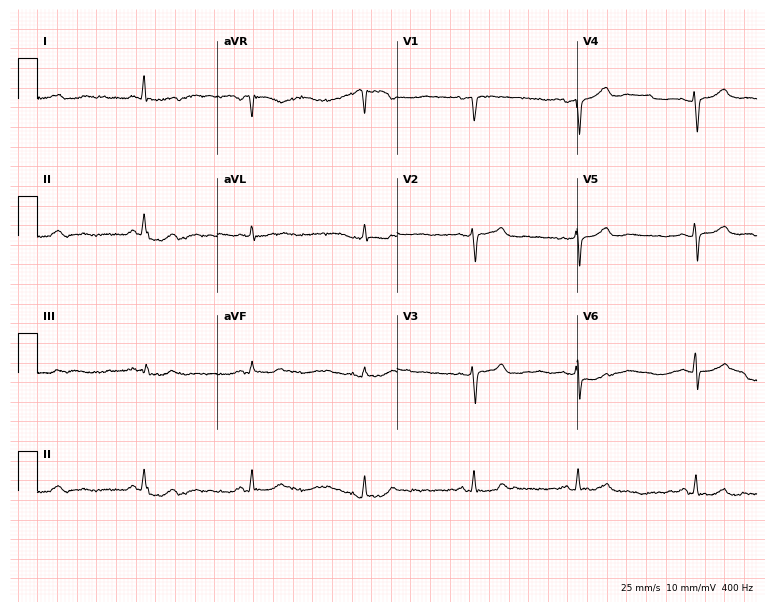
12-lead ECG (7.3-second recording at 400 Hz) from a 42-year-old woman. Screened for six findings — first-degree AV block, right bundle branch block, left bundle branch block, sinus bradycardia, atrial fibrillation, sinus tachycardia — none is recorded. Other findings, if any, are not listed.